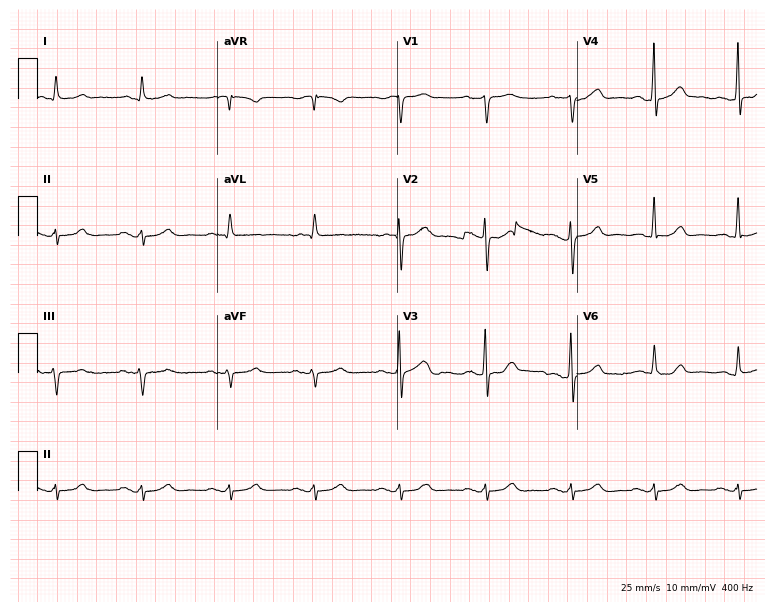
Standard 12-lead ECG recorded from a 79-year-old male. None of these six findings is recorded: first-degree AV block, right bundle branch block, left bundle branch block, sinus bradycardia, atrial fibrillation, sinus tachycardia.